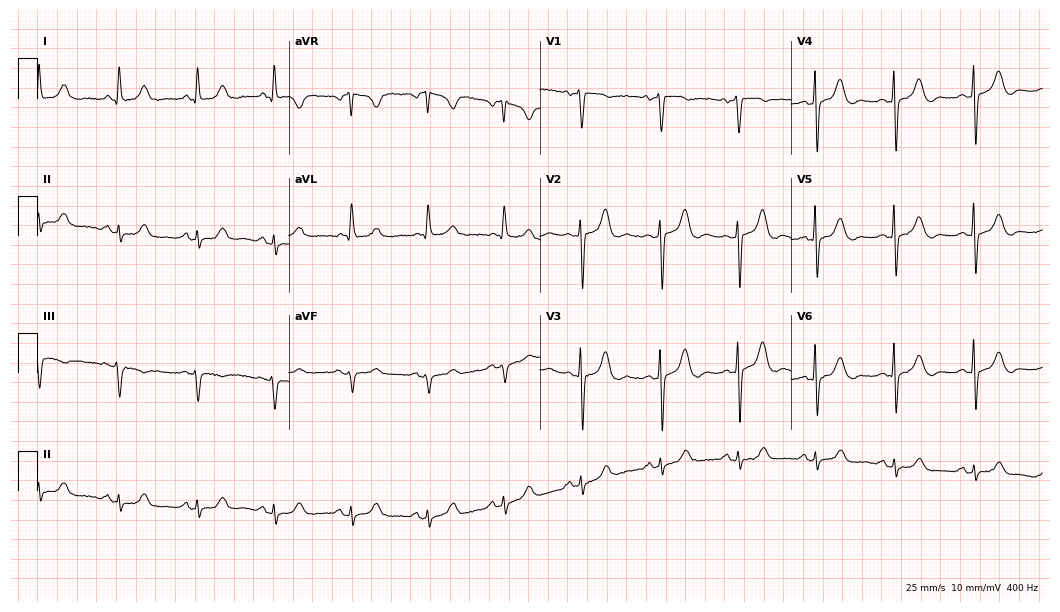
Electrocardiogram (10.2-second recording at 400 Hz), a 72-year-old female. Of the six screened findings (first-degree AV block, right bundle branch block (RBBB), left bundle branch block (LBBB), sinus bradycardia, atrial fibrillation (AF), sinus tachycardia), none is recorded. Only these six findings were labelled.